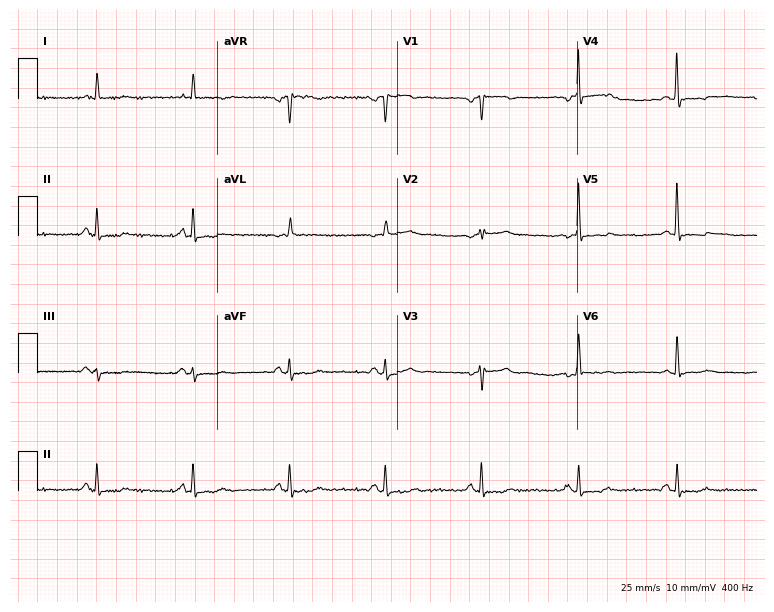
12-lead ECG from a female, 60 years old. Screened for six findings — first-degree AV block, right bundle branch block (RBBB), left bundle branch block (LBBB), sinus bradycardia, atrial fibrillation (AF), sinus tachycardia — none is recorded. Findings outside these six are not listed.